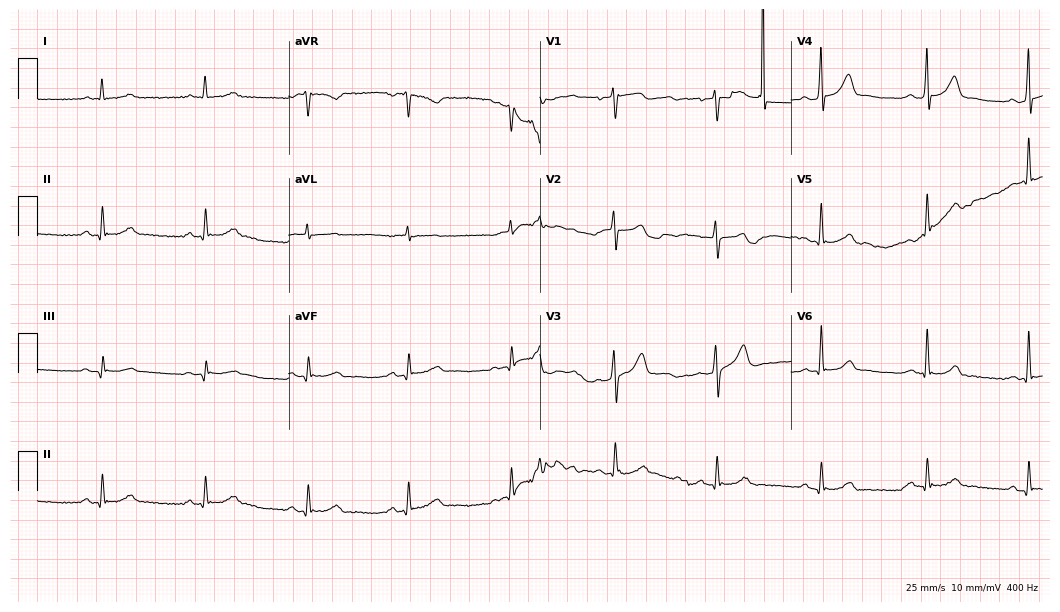
12-lead ECG from a 69-year-old male patient. No first-degree AV block, right bundle branch block, left bundle branch block, sinus bradycardia, atrial fibrillation or sinus tachycardia recorded for this tracing.